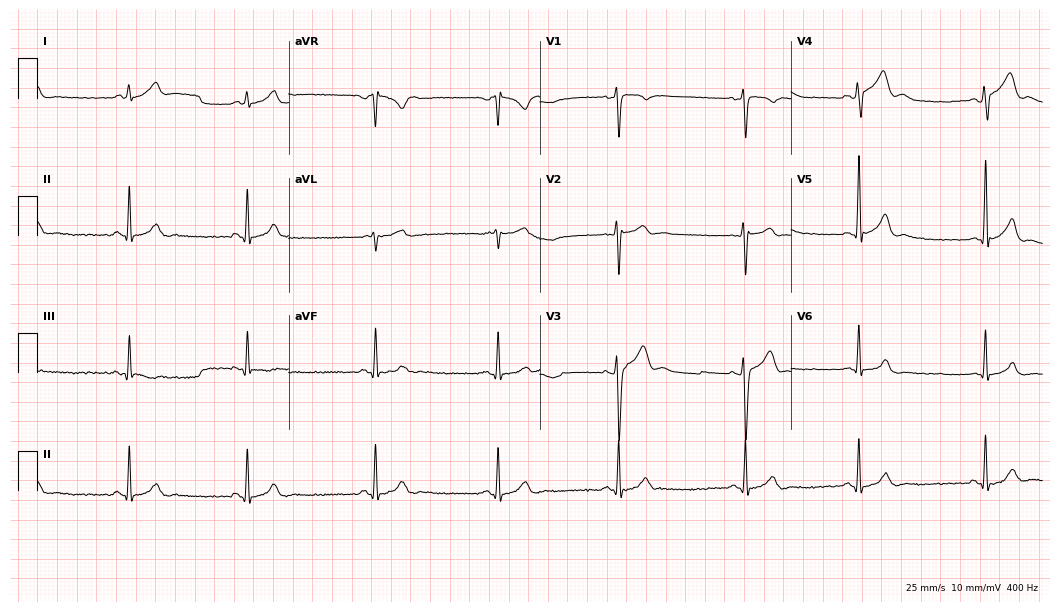
Standard 12-lead ECG recorded from a male, 30 years old. The tracing shows sinus bradycardia (a sinus rate of 50 beats per minute or less).